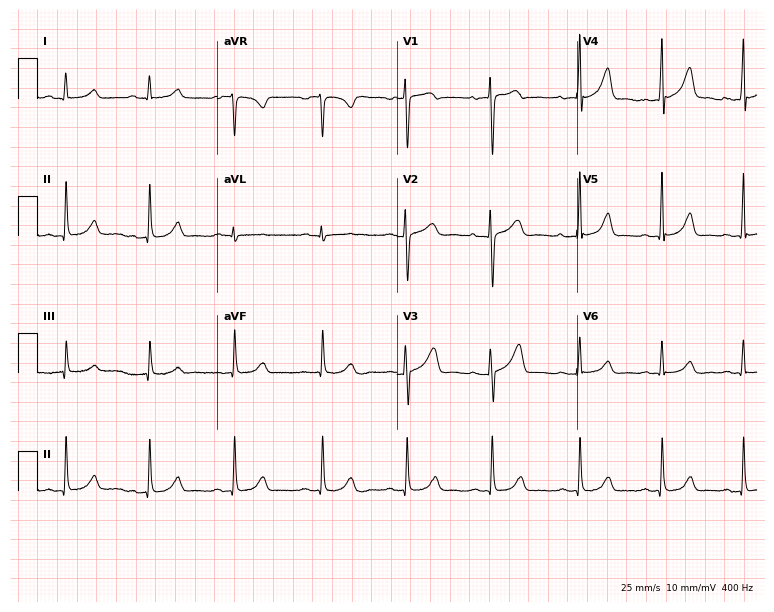
12-lead ECG from a female patient, 26 years old (7.3-second recording at 400 Hz). Recorded interpretation: within normal limits.